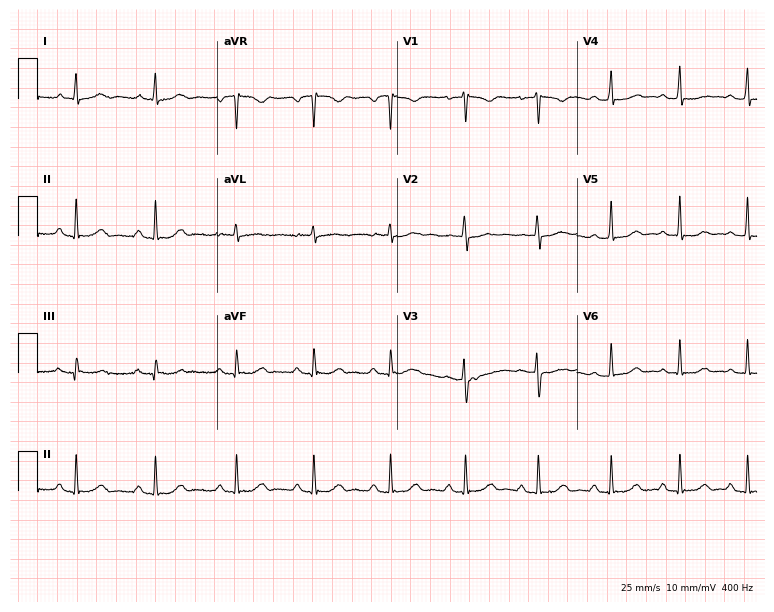
12-lead ECG from a 36-year-old woman. Labelled as a normal ECG.